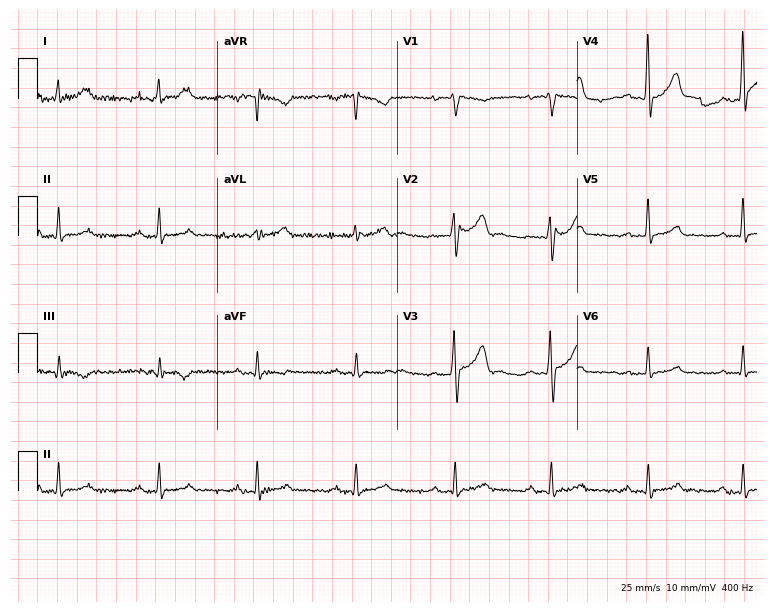
Standard 12-lead ECG recorded from a male patient, 33 years old. None of these six findings is recorded: first-degree AV block, right bundle branch block, left bundle branch block, sinus bradycardia, atrial fibrillation, sinus tachycardia.